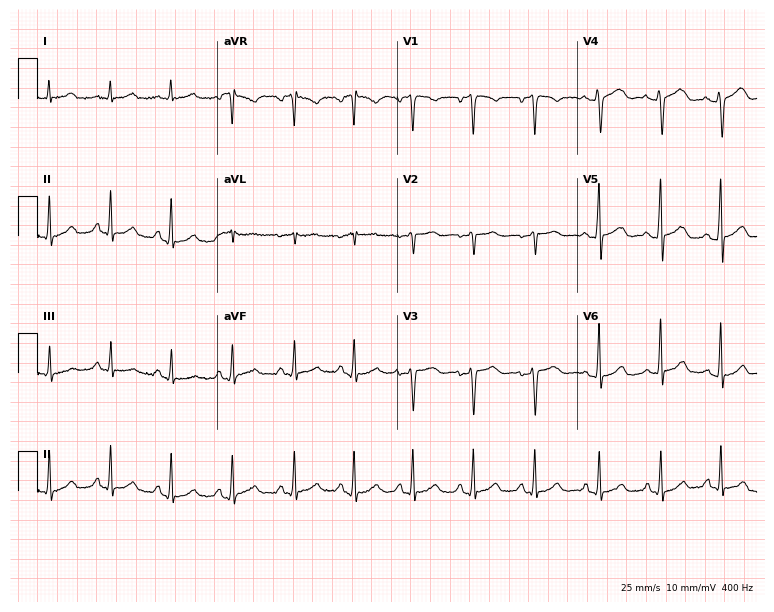
ECG — a female, 43 years old. Labelled as a normal ECG.